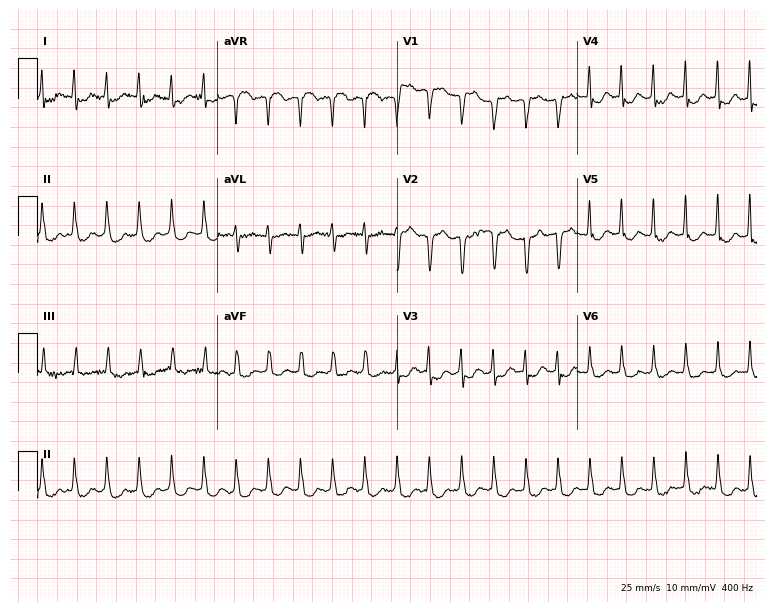
Resting 12-lead electrocardiogram. Patient: a female, 64 years old. None of these six findings is recorded: first-degree AV block, right bundle branch block, left bundle branch block, sinus bradycardia, atrial fibrillation, sinus tachycardia.